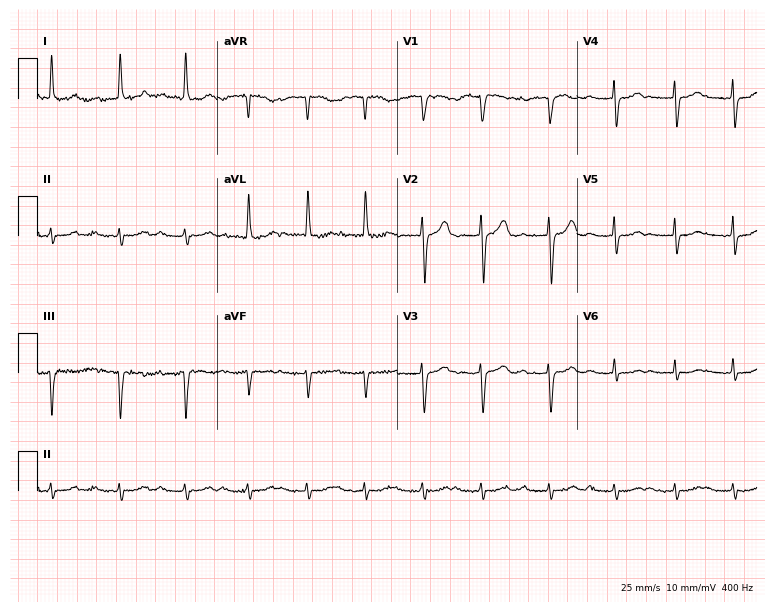
ECG — an 82-year-old female patient. Findings include first-degree AV block.